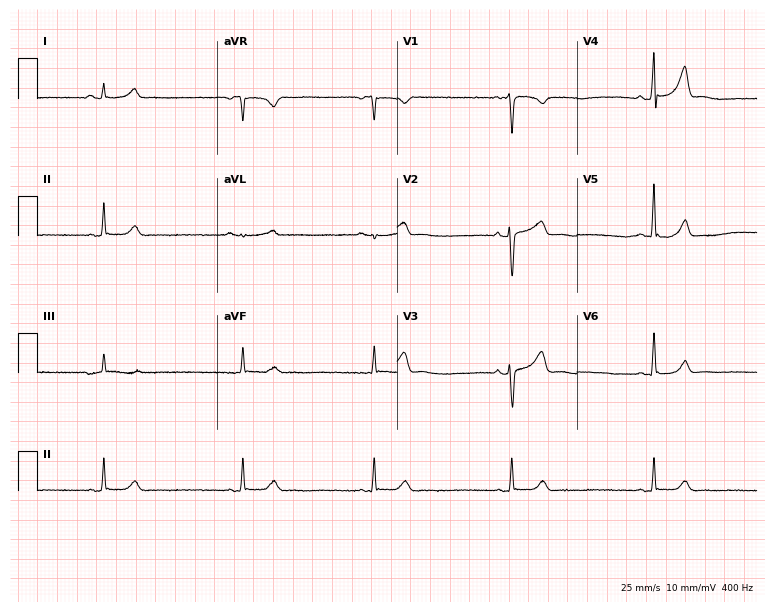
12-lead ECG (7.3-second recording at 400 Hz) from a 32-year-old female patient. Findings include sinus bradycardia (a sinus rate of 50 beats per minute or less).